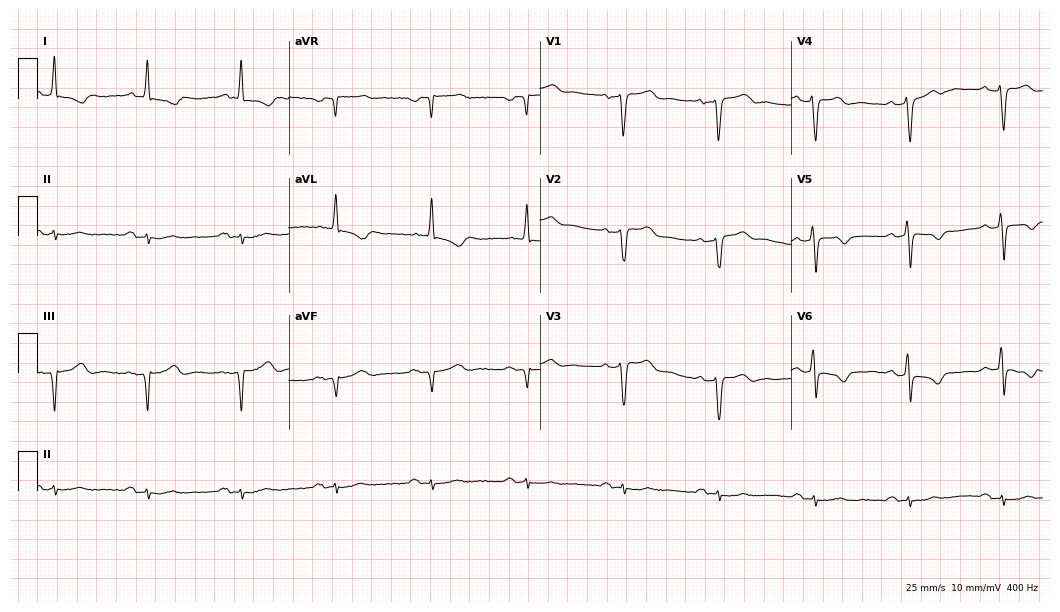
12-lead ECG from a man, 67 years old. No first-degree AV block, right bundle branch block, left bundle branch block, sinus bradycardia, atrial fibrillation or sinus tachycardia recorded for this tracing. Other findings, if any, are not listed.